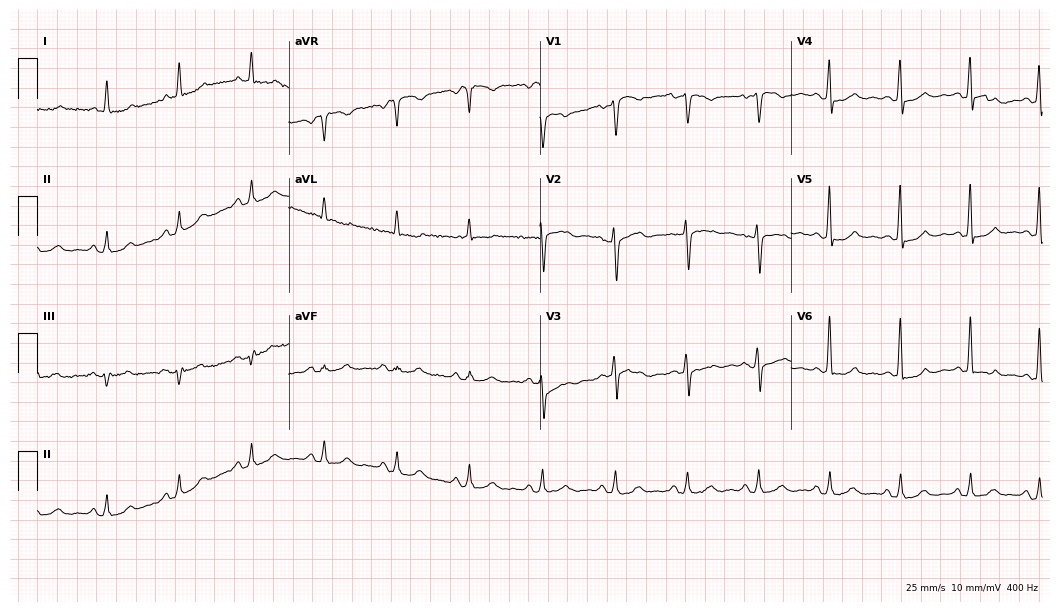
Standard 12-lead ECG recorded from a 71-year-old male patient. None of these six findings is recorded: first-degree AV block, right bundle branch block (RBBB), left bundle branch block (LBBB), sinus bradycardia, atrial fibrillation (AF), sinus tachycardia. Findings outside these six are not listed.